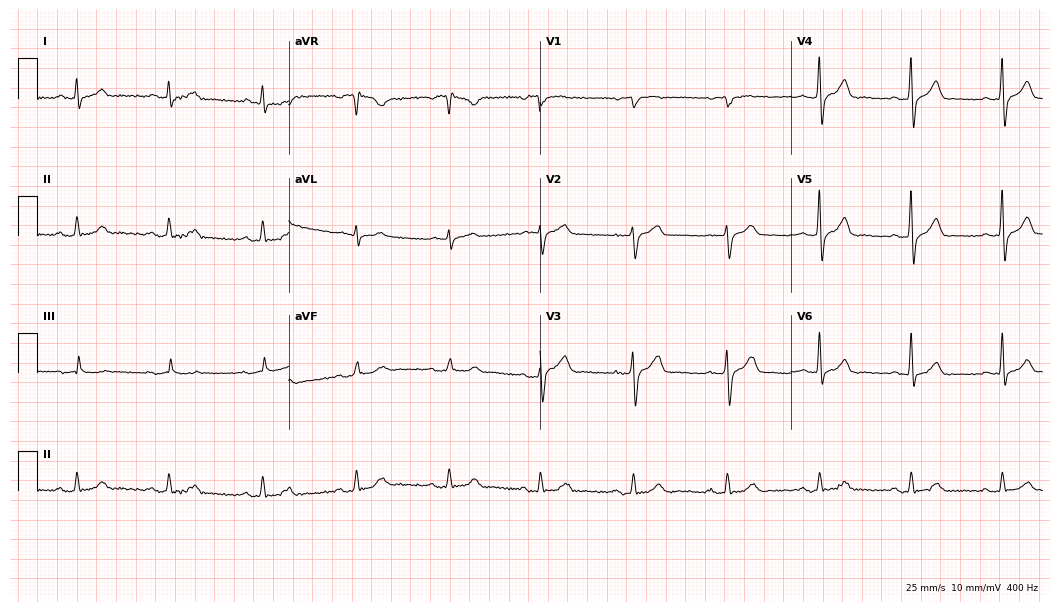
12-lead ECG from a man, 58 years old. Labelled as a normal ECG.